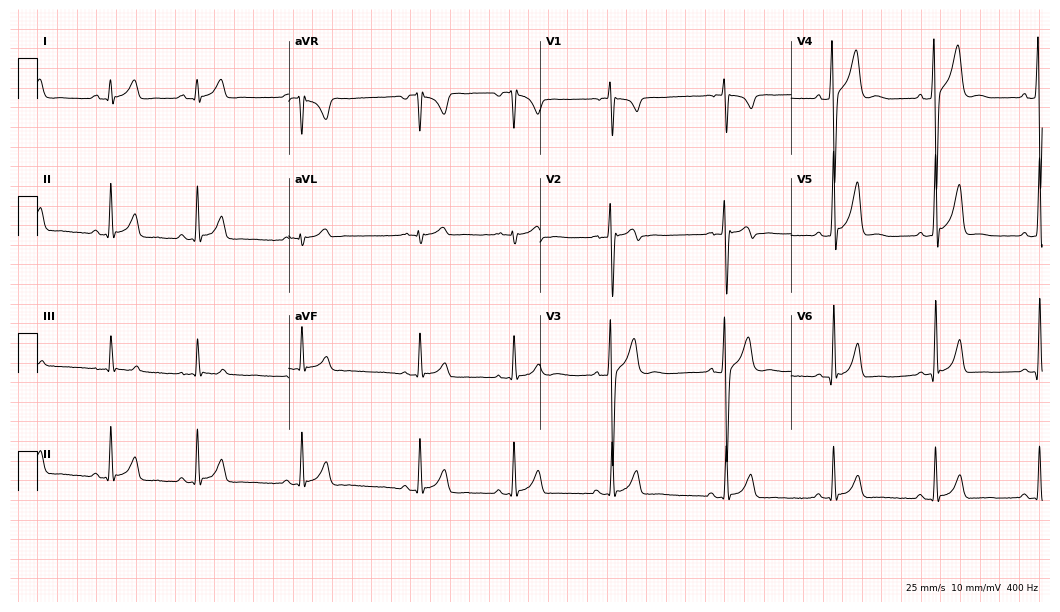
12-lead ECG (10.2-second recording at 400 Hz) from a 20-year-old male patient. Labelled as a normal ECG.